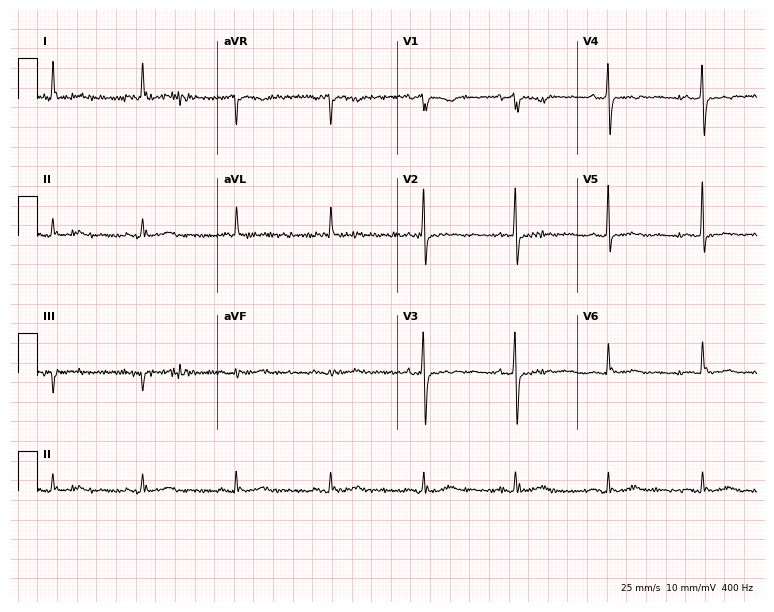
12-lead ECG (7.3-second recording at 400 Hz) from a 78-year-old female. Screened for six findings — first-degree AV block, right bundle branch block, left bundle branch block, sinus bradycardia, atrial fibrillation, sinus tachycardia — none is recorded.